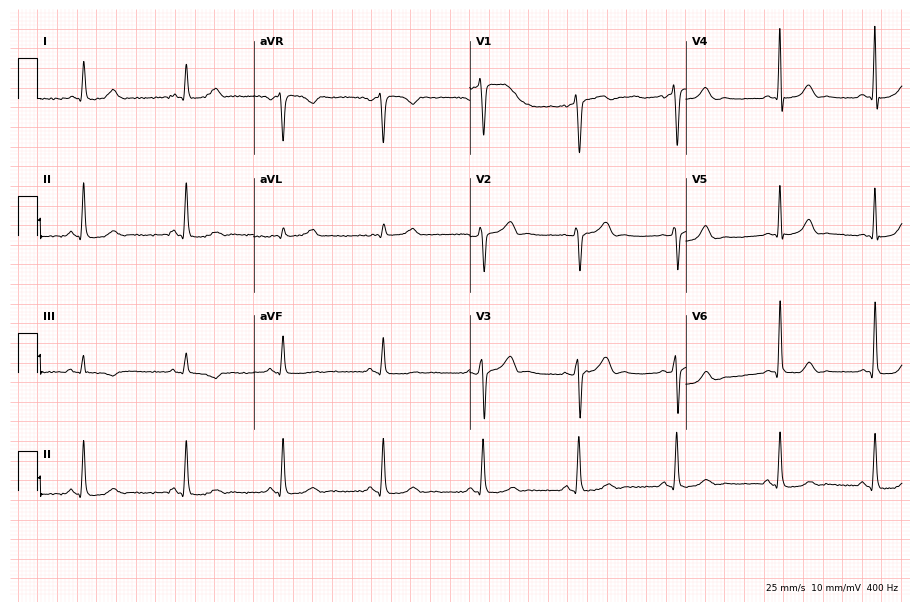
Resting 12-lead electrocardiogram. Patient: a man, 56 years old. Read as a normal ECG.